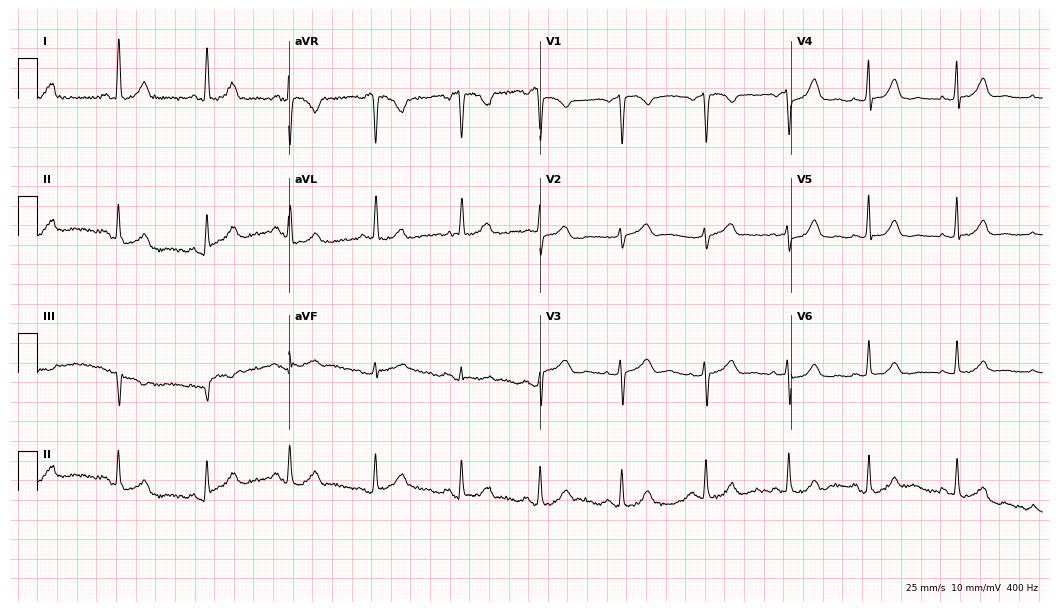
12-lead ECG (10.2-second recording at 400 Hz) from a 50-year-old female. Labelled as a normal ECG.